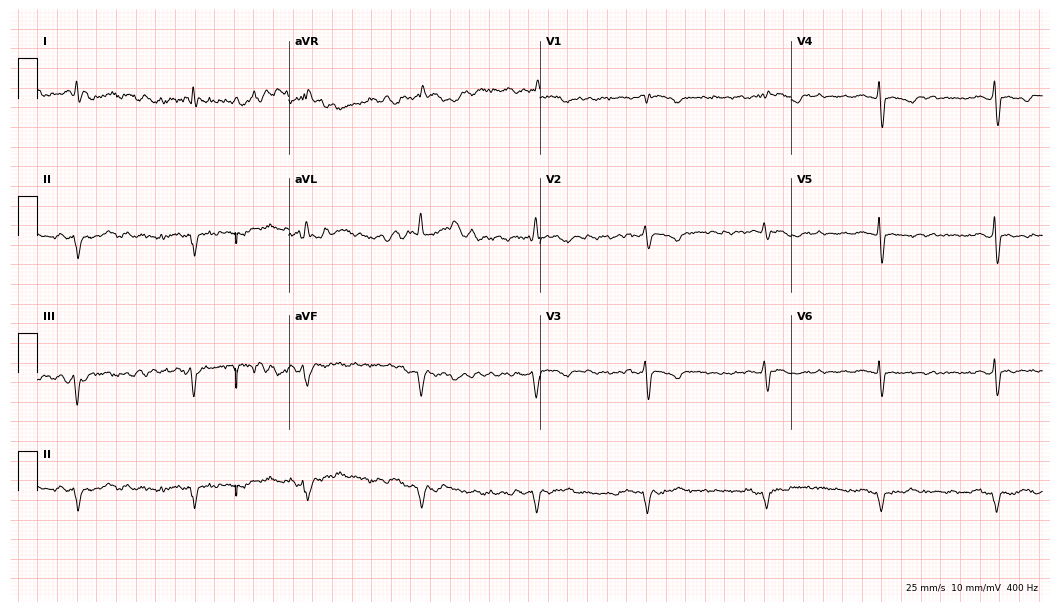
12-lead ECG from a male patient, 79 years old. No first-degree AV block, right bundle branch block, left bundle branch block, sinus bradycardia, atrial fibrillation or sinus tachycardia recorded for this tracing.